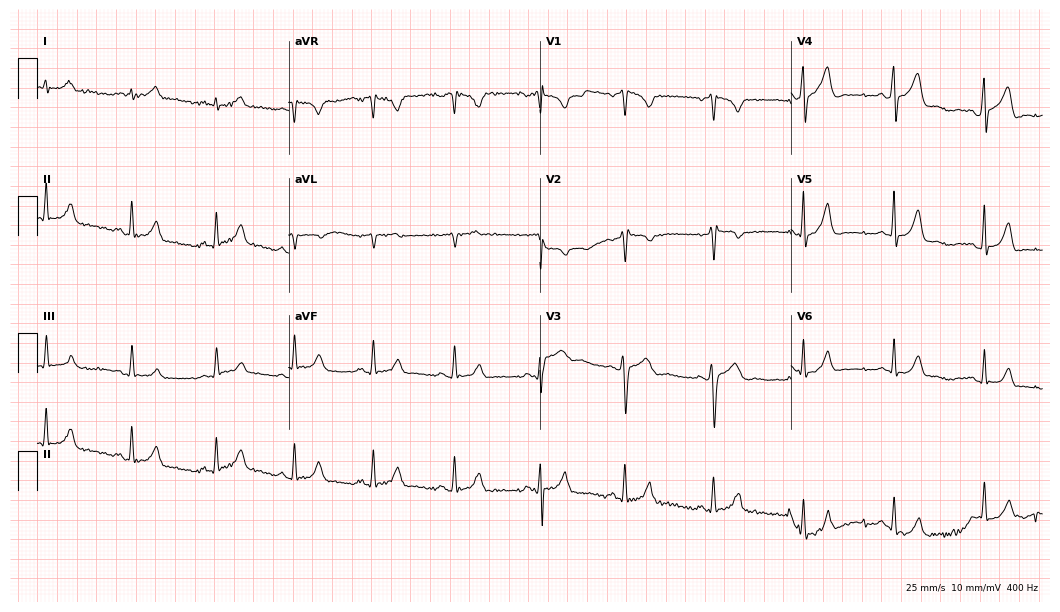
12-lead ECG (10.2-second recording at 400 Hz) from a male, 29 years old. Labelled as a normal ECG.